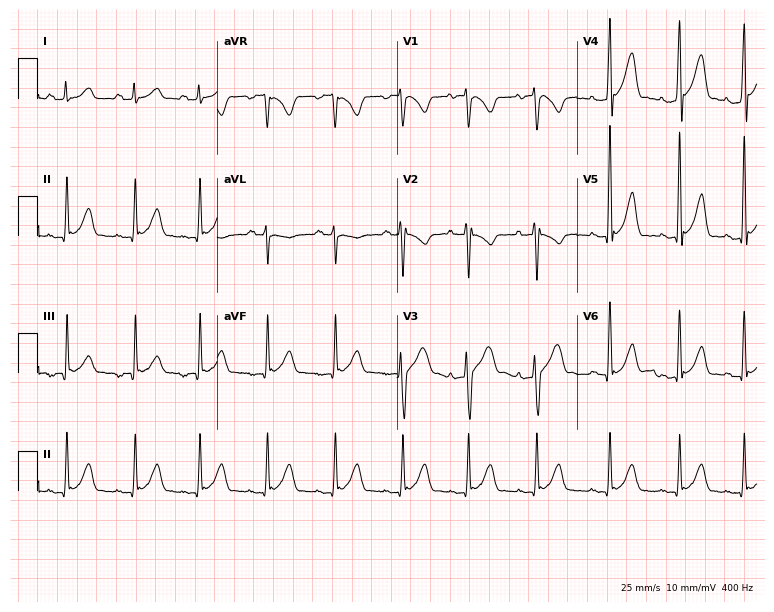
Electrocardiogram, a 27-year-old male patient. Of the six screened findings (first-degree AV block, right bundle branch block (RBBB), left bundle branch block (LBBB), sinus bradycardia, atrial fibrillation (AF), sinus tachycardia), none is recorded.